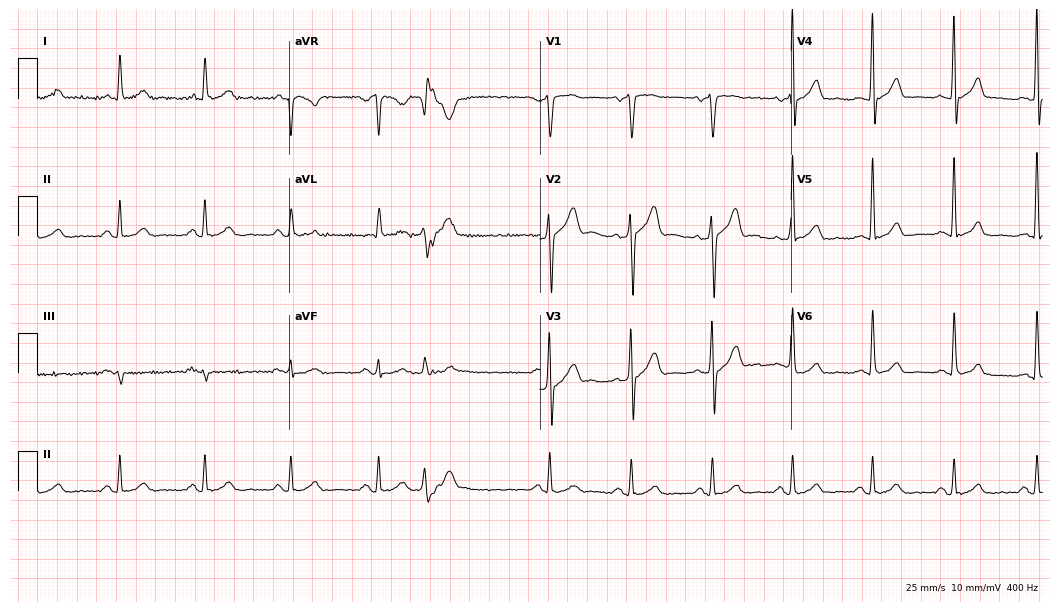
Standard 12-lead ECG recorded from a male, 61 years old (10.2-second recording at 400 Hz). Read as a normal ECG.